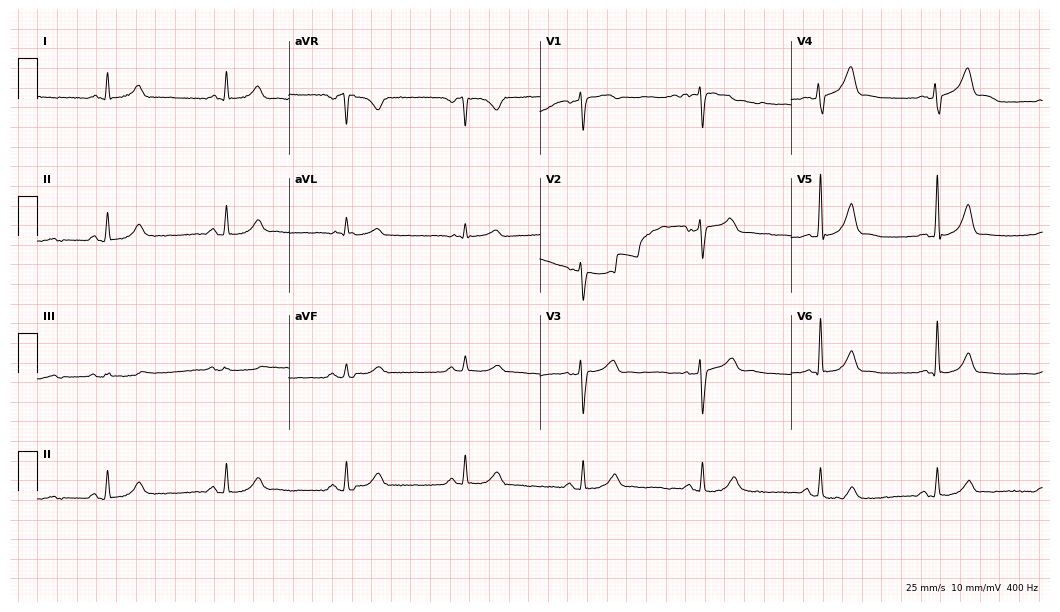
Electrocardiogram (10.2-second recording at 400 Hz), a male patient, 68 years old. Overall reading on record: normal ECG.